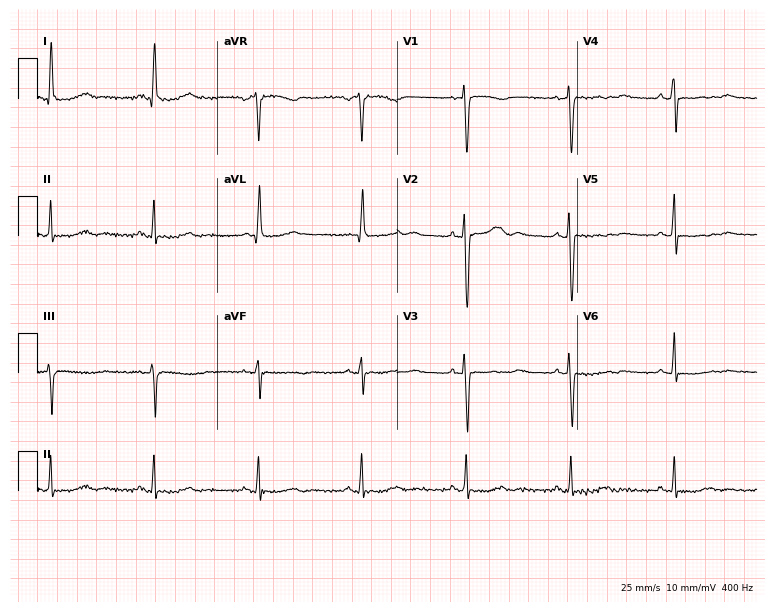
Electrocardiogram, a 57-year-old woman. Of the six screened findings (first-degree AV block, right bundle branch block, left bundle branch block, sinus bradycardia, atrial fibrillation, sinus tachycardia), none is recorded.